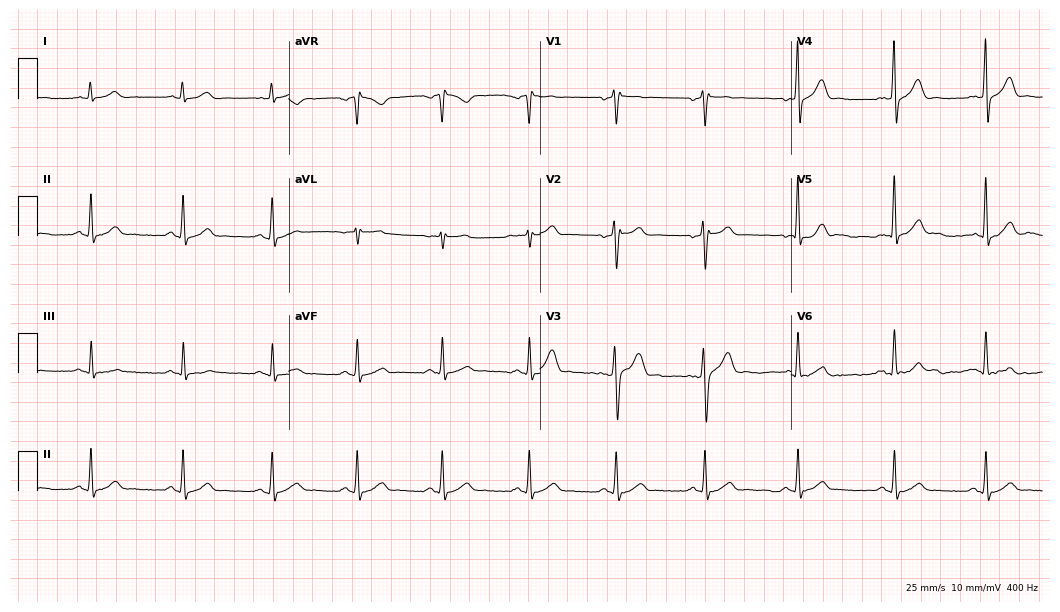
12-lead ECG (10.2-second recording at 400 Hz) from a male patient, 33 years old. Labelled as a normal ECG.